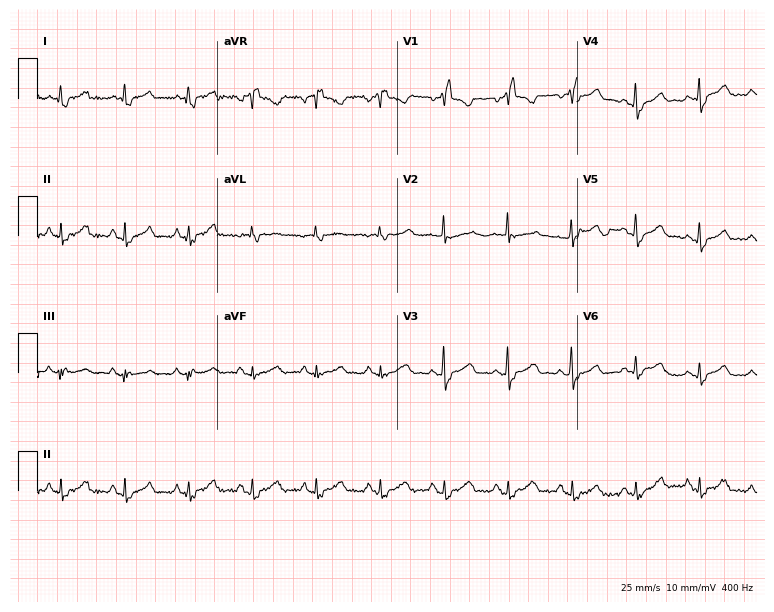
Electrocardiogram (7.3-second recording at 400 Hz), a female, 56 years old. Interpretation includes right bundle branch block.